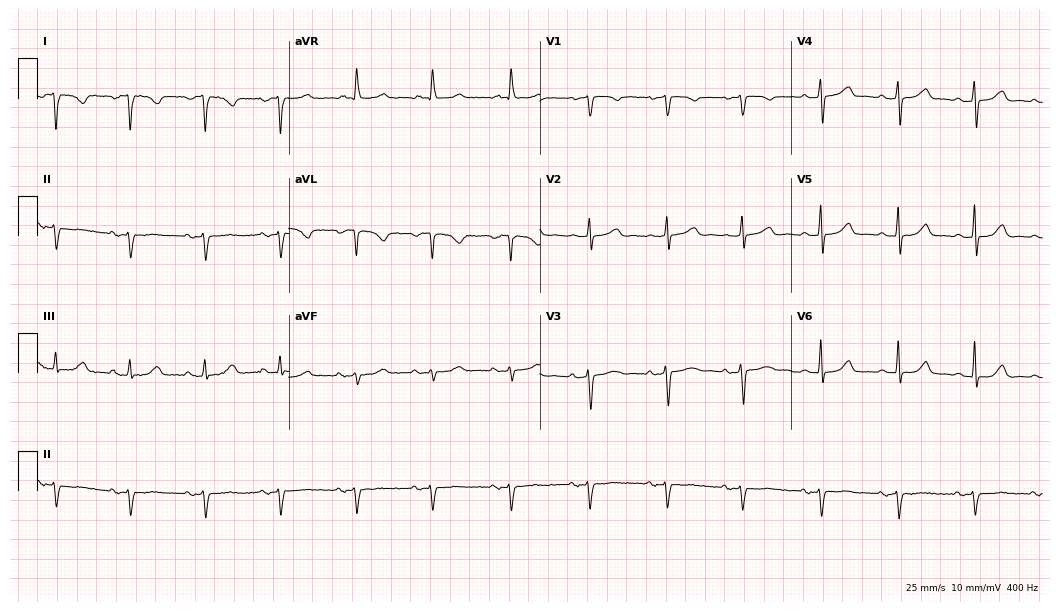
Resting 12-lead electrocardiogram (10.2-second recording at 400 Hz). Patient: a 78-year-old male. None of these six findings is recorded: first-degree AV block, right bundle branch block, left bundle branch block, sinus bradycardia, atrial fibrillation, sinus tachycardia. Findings outside these six are not listed.